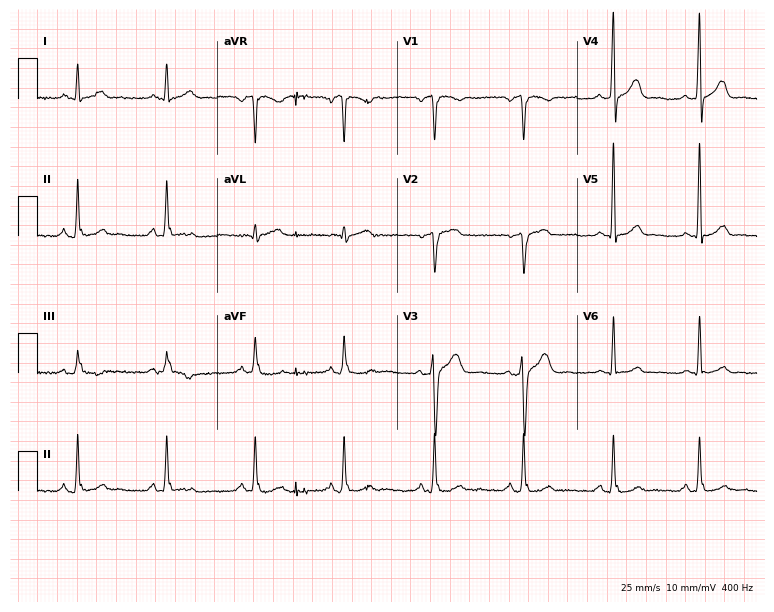
Electrocardiogram, a male, 50 years old. Overall reading on record: normal ECG.